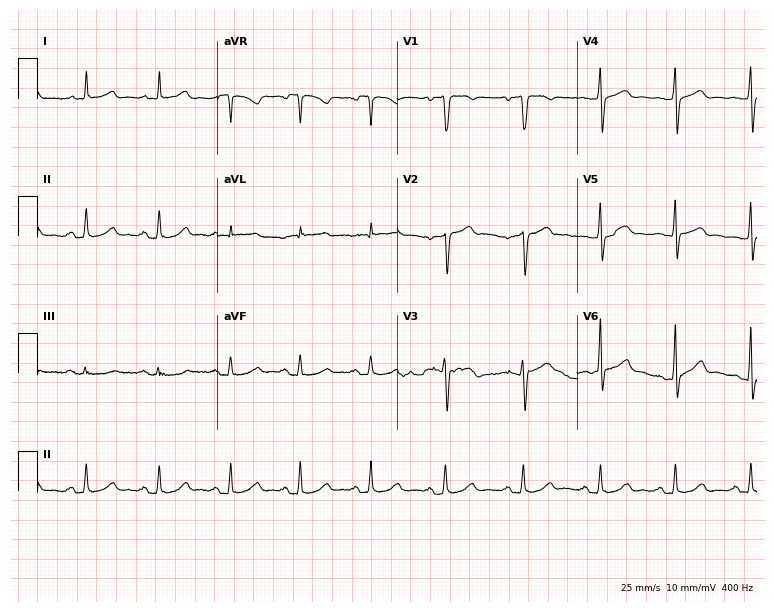
12-lead ECG from a male patient, 37 years old. Screened for six findings — first-degree AV block, right bundle branch block, left bundle branch block, sinus bradycardia, atrial fibrillation, sinus tachycardia — none is recorded.